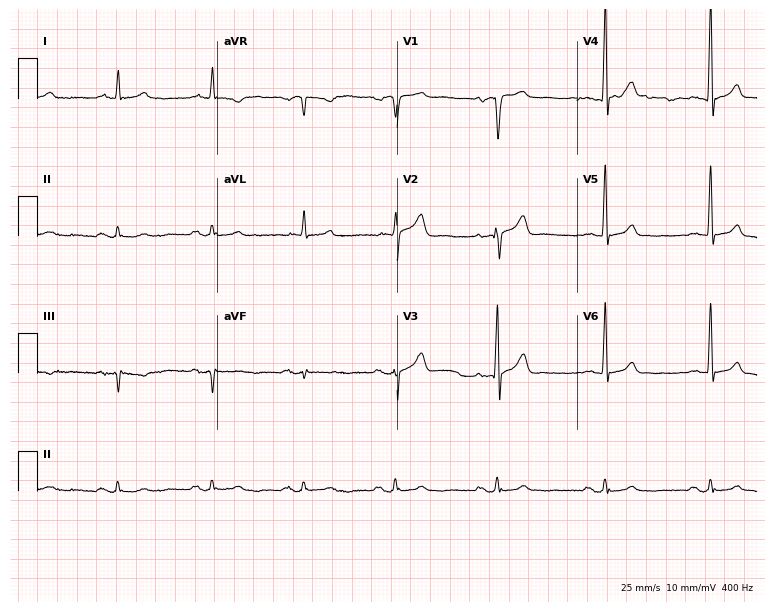
Standard 12-lead ECG recorded from a 66-year-old male patient (7.3-second recording at 400 Hz). Read as a normal ECG.